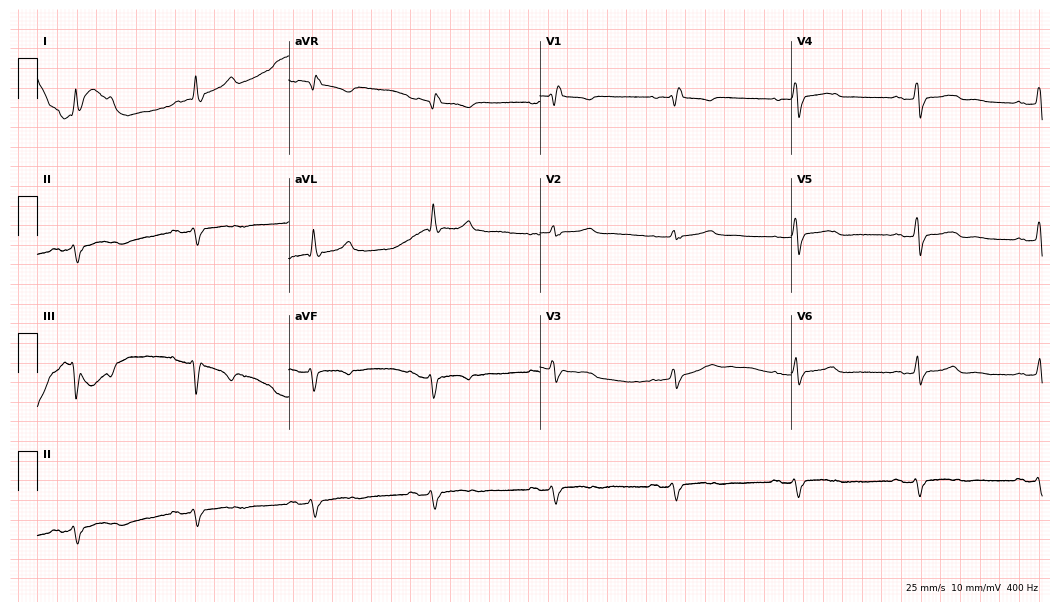
12-lead ECG (10.2-second recording at 400 Hz) from a female, 61 years old. Findings include right bundle branch block, sinus bradycardia (a sinus rate of 50 beats per minute or less).